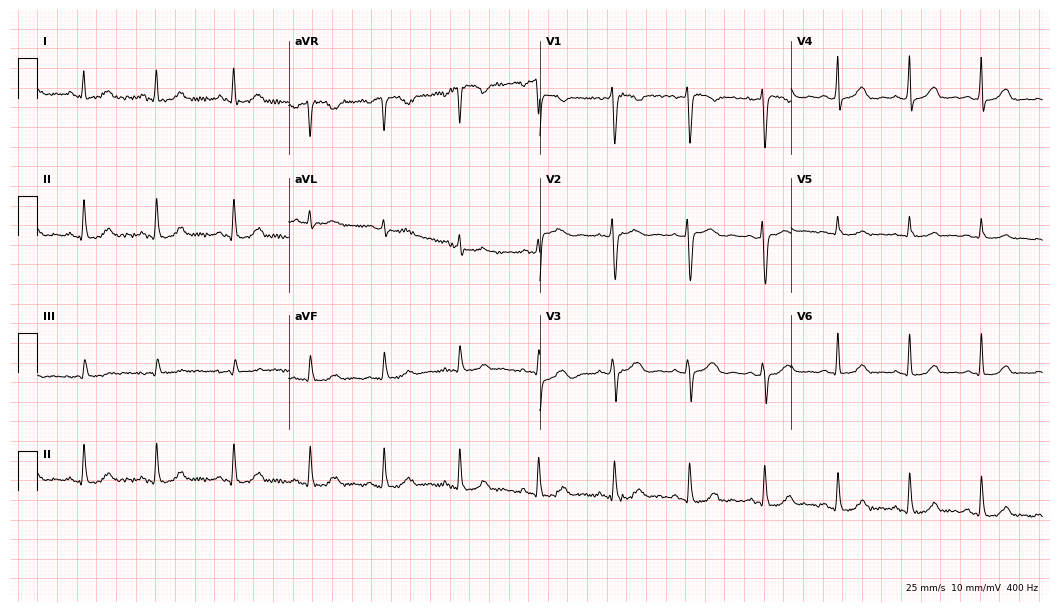
12-lead ECG from a female patient, 39 years old. Screened for six findings — first-degree AV block, right bundle branch block, left bundle branch block, sinus bradycardia, atrial fibrillation, sinus tachycardia — none is recorded.